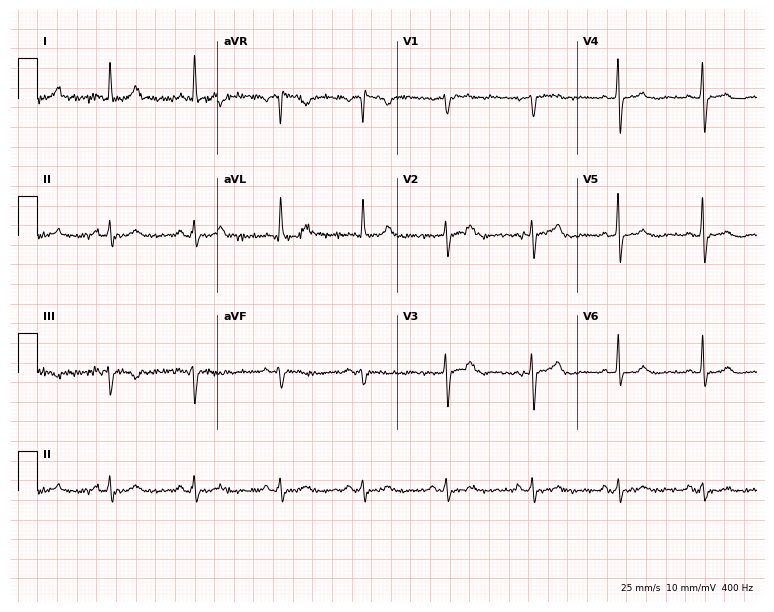
Resting 12-lead electrocardiogram (7.3-second recording at 400 Hz). Patient: a 62-year-old woman. Read as a normal ECG.